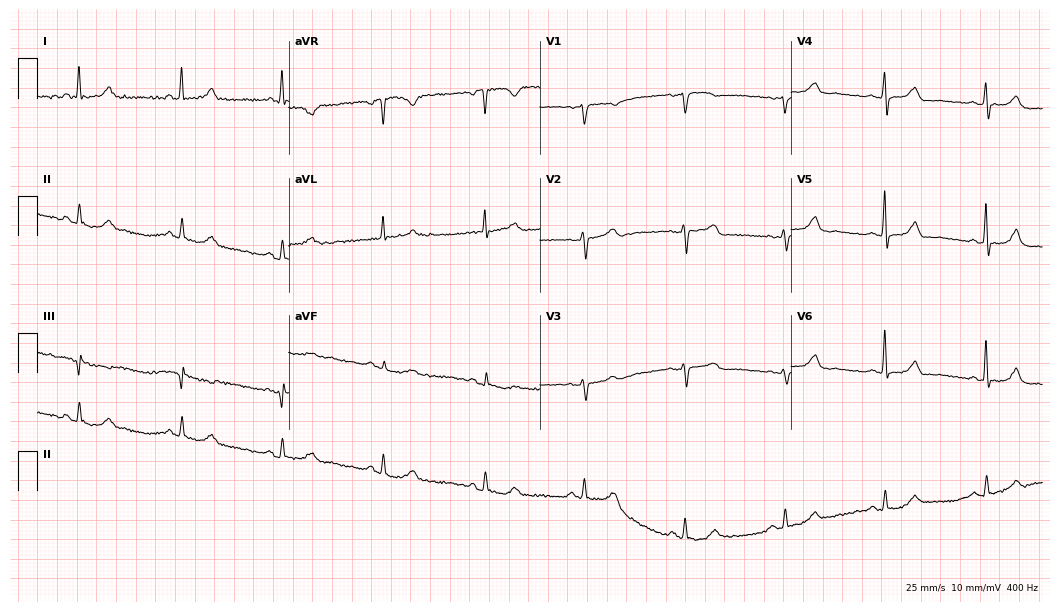
12-lead ECG (10.2-second recording at 400 Hz) from a 72-year-old female patient. Labelled as a normal ECG.